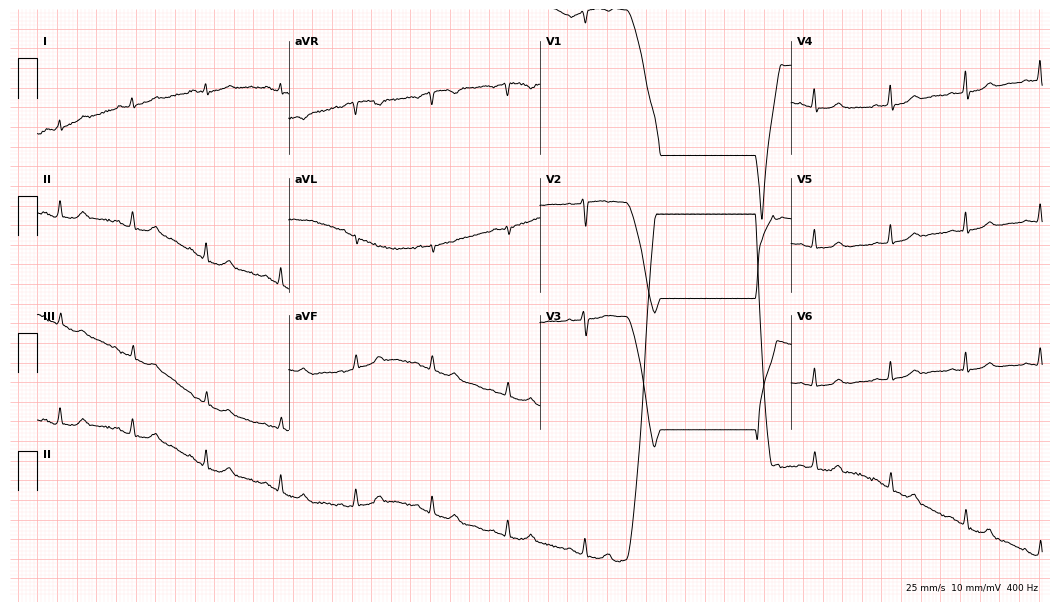
Resting 12-lead electrocardiogram. Patient: a female, 76 years old. None of these six findings is recorded: first-degree AV block, right bundle branch block, left bundle branch block, sinus bradycardia, atrial fibrillation, sinus tachycardia. Other findings, if any, are not listed.